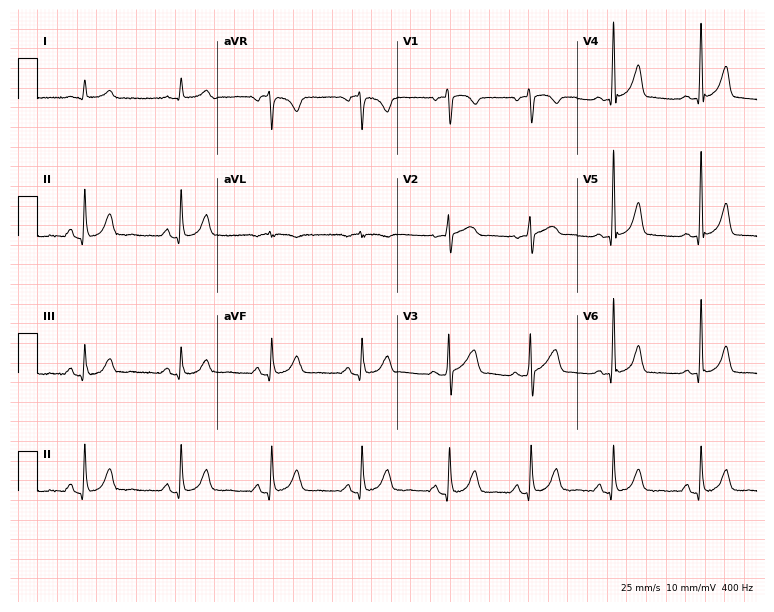
Electrocardiogram, a 70-year-old woman. Overall reading on record: normal ECG.